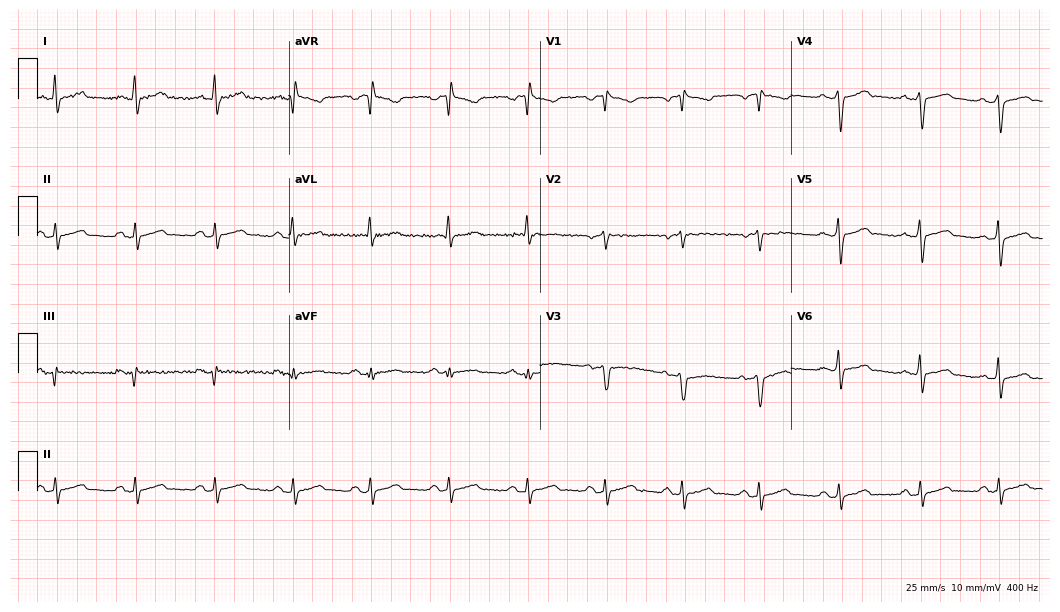
Standard 12-lead ECG recorded from a 39-year-old man. None of these six findings is recorded: first-degree AV block, right bundle branch block, left bundle branch block, sinus bradycardia, atrial fibrillation, sinus tachycardia.